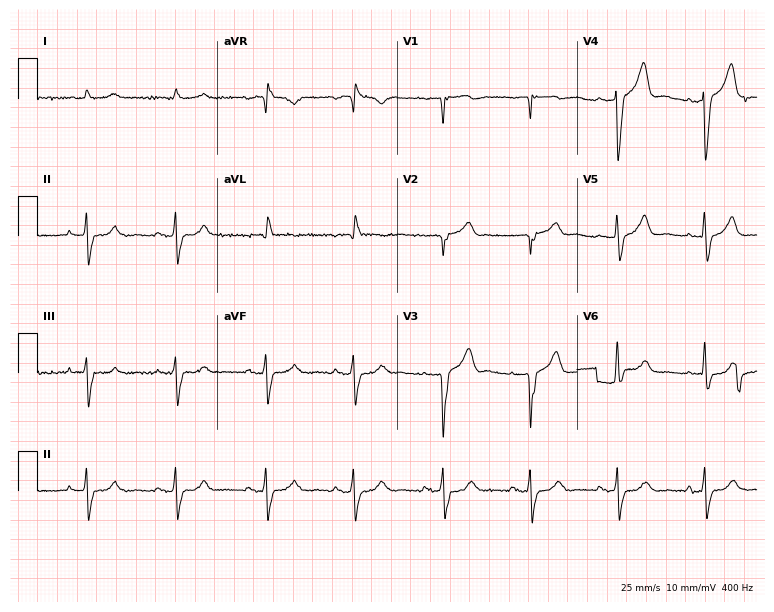
Electrocardiogram (7.3-second recording at 400 Hz), a man, 73 years old. Of the six screened findings (first-degree AV block, right bundle branch block, left bundle branch block, sinus bradycardia, atrial fibrillation, sinus tachycardia), none is recorded. Other findings, if any, are not listed.